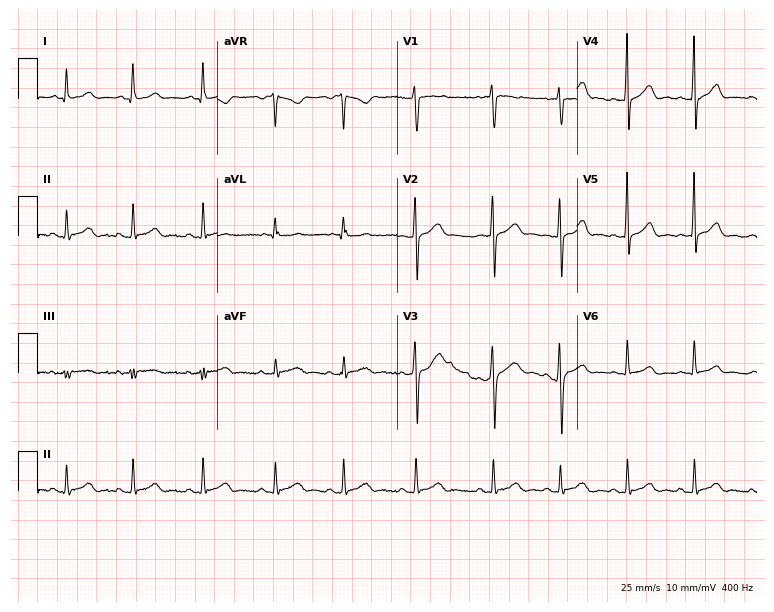
Resting 12-lead electrocardiogram. Patient: a 17-year-old female. Read as a normal ECG.